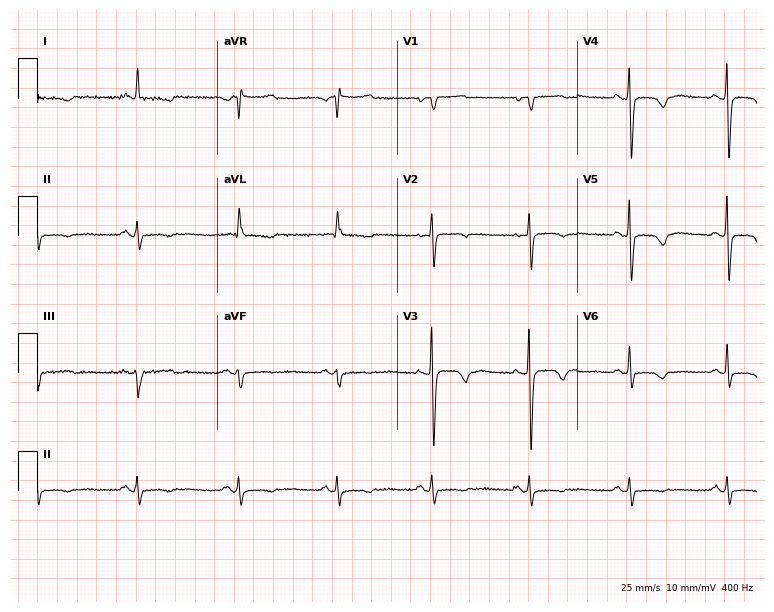
Electrocardiogram, a 53-year-old female. Of the six screened findings (first-degree AV block, right bundle branch block, left bundle branch block, sinus bradycardia, atrial fibrillation, sinus tachycardia), none is recorded. Only these six findings were labelled.